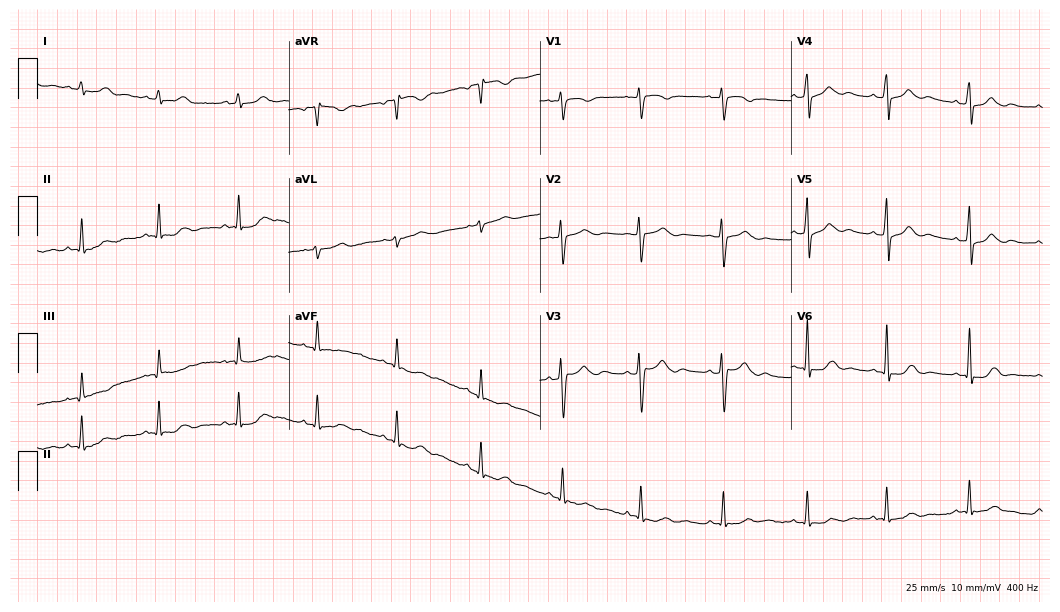
Standard 12-lead ECG recorded from a female, 37 years old. Read as a normal ECG.